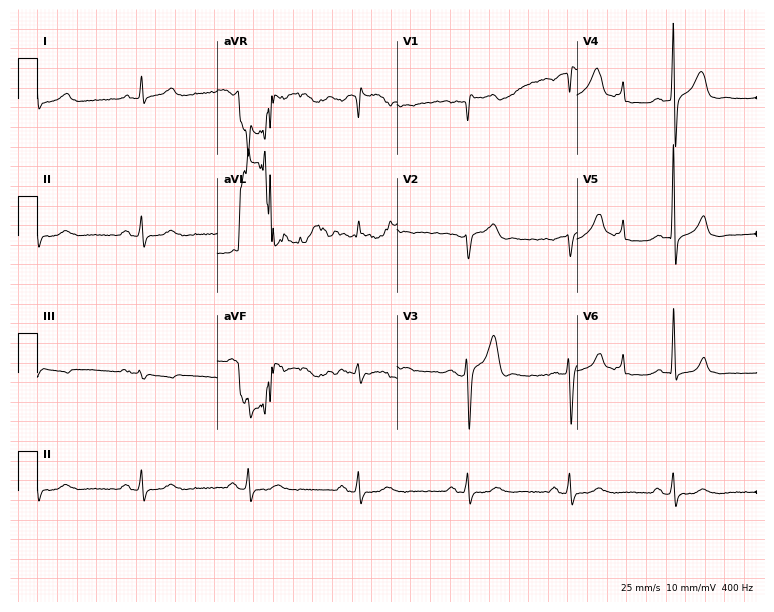
Electrocardiogram (7.3-second recording at 400 Hz), a 60-year-old male patient. Of the six screened findings (first-degree AV block, right bundle branch block, left bundle branch block, sinus bradycardia, atrial fibrillation, sinus tachycardia), none is recorded.